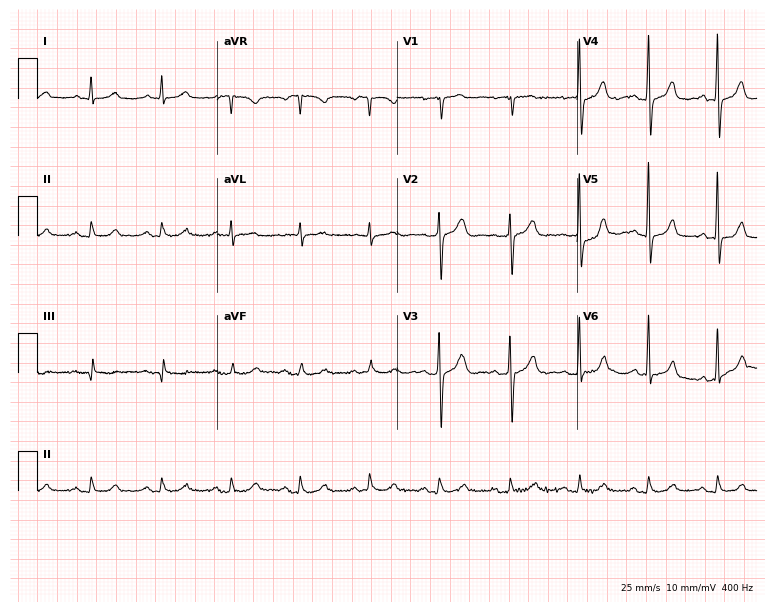
12-lead ECG (7.3-second recording at 400 Hz) from a male patient, 81 years old. Labelled as a normal ECG.